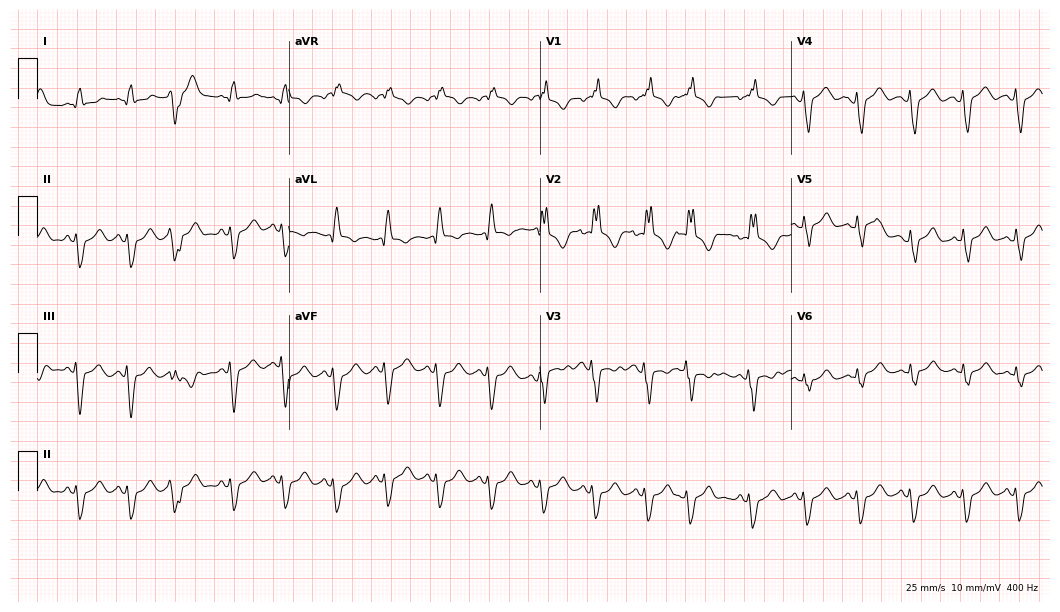
12-lead ECG (10.2-second recording at 400 Hz) from a man, 45 years old. Findings include right bundle branch block, sinus tachycardia (a sinus rate of 100 beats per minute or more).